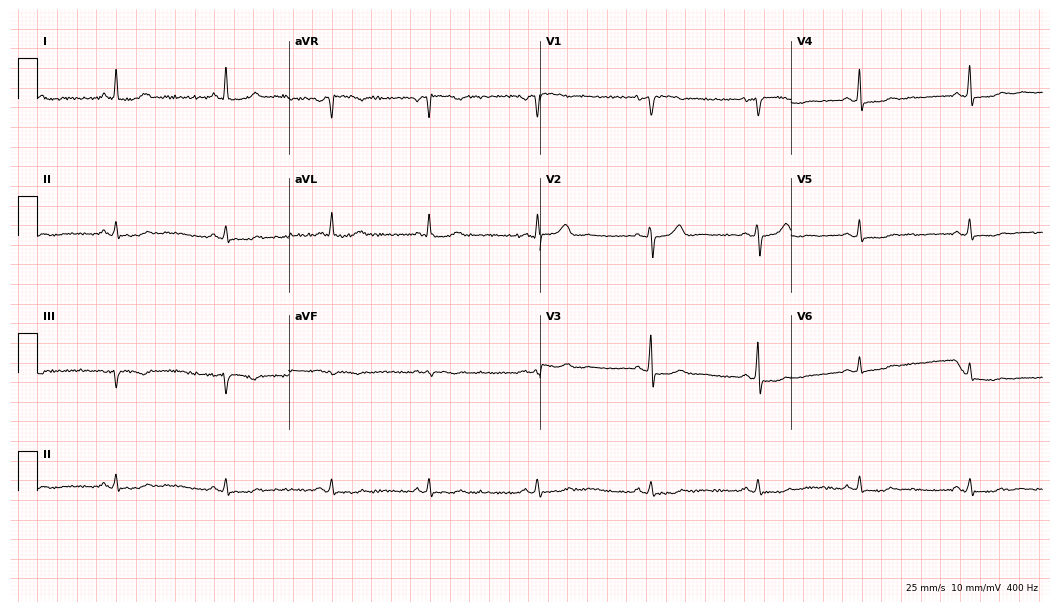
Resting 12-lead electrocardiogram. Patient: a 55-year-old woman. None of these six findings is recorded: first-degree AV block, right bundle branch block (RBBB), left bundle branch block (LBBB), sinus bradycardia, atrial fibrillation (AF), sinus tachycardia.